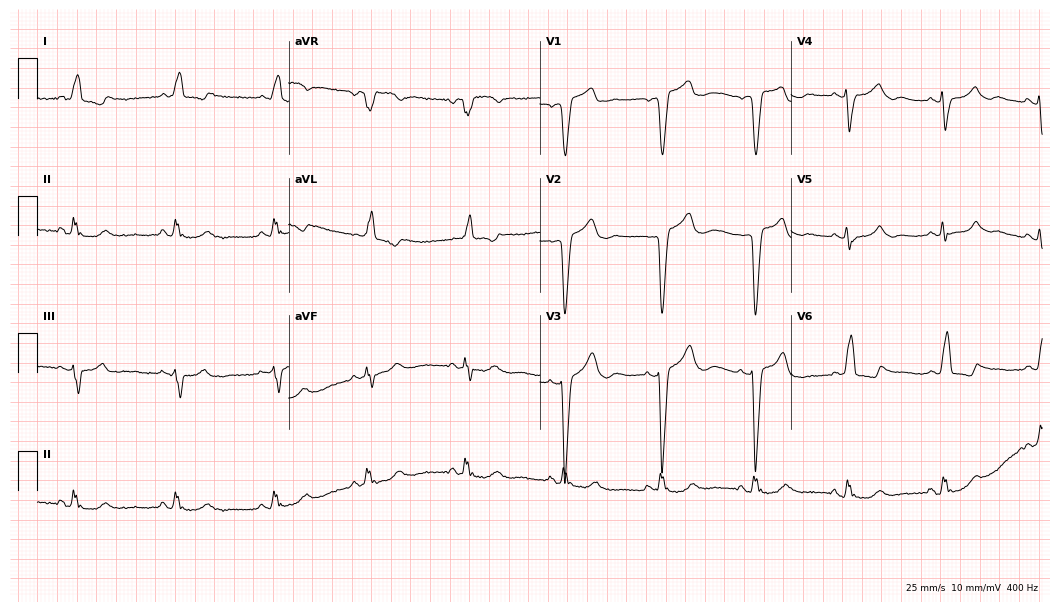
12-lead ECG from a female, 82 years old (10.2-second recording at 400 Hz). Shows left bundle branch block.